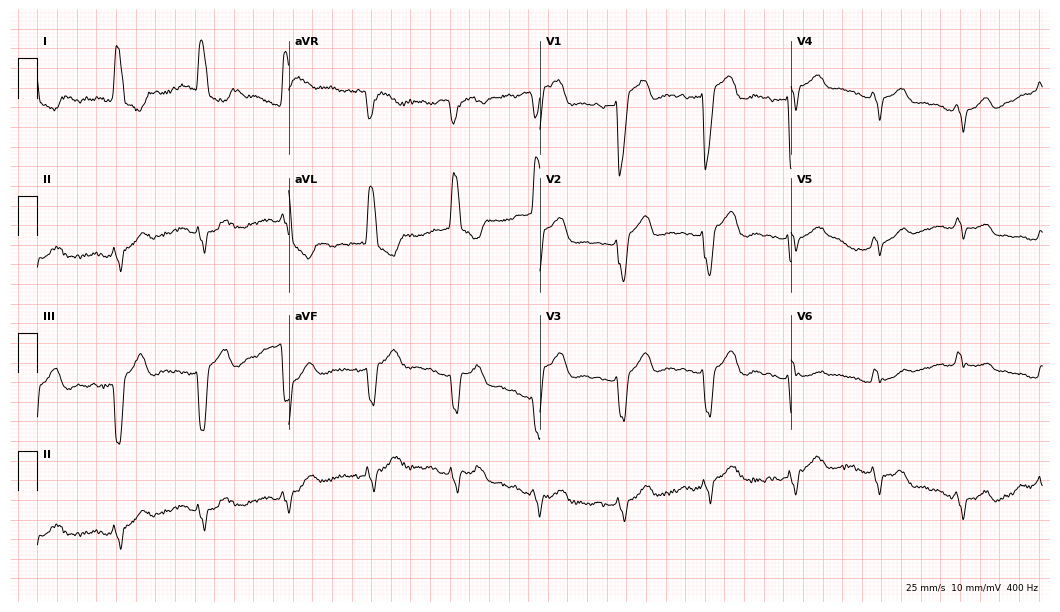
12-lead ECG (10.2-second recording at 400 Hz) from a 71-year-old woman. Screened for six findings — first-degree AV block, right bundle branch block, left bundle branch block, sinus bradycardia, atrial fibrillation, sinus tachycardia — none is recorded.